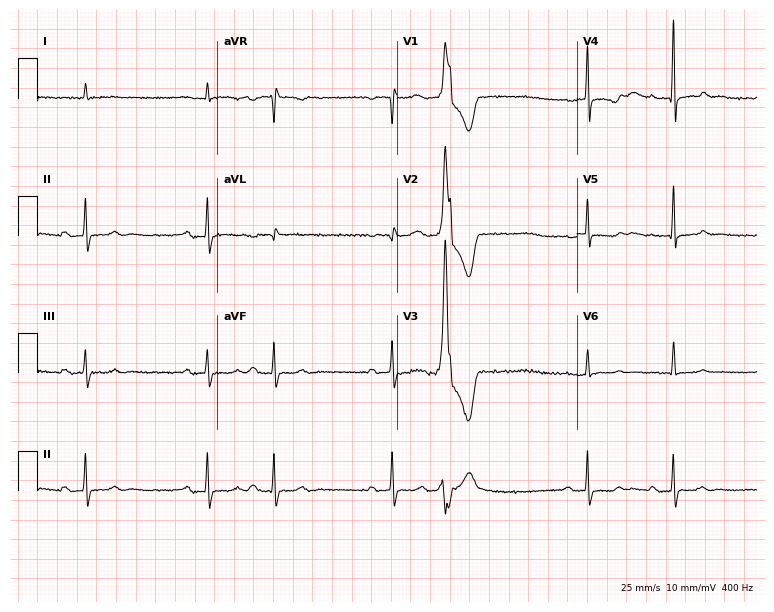
Standard 12-lead ECG recorded from a male patient, 77 years old. The tracing shows first-degree AV block.